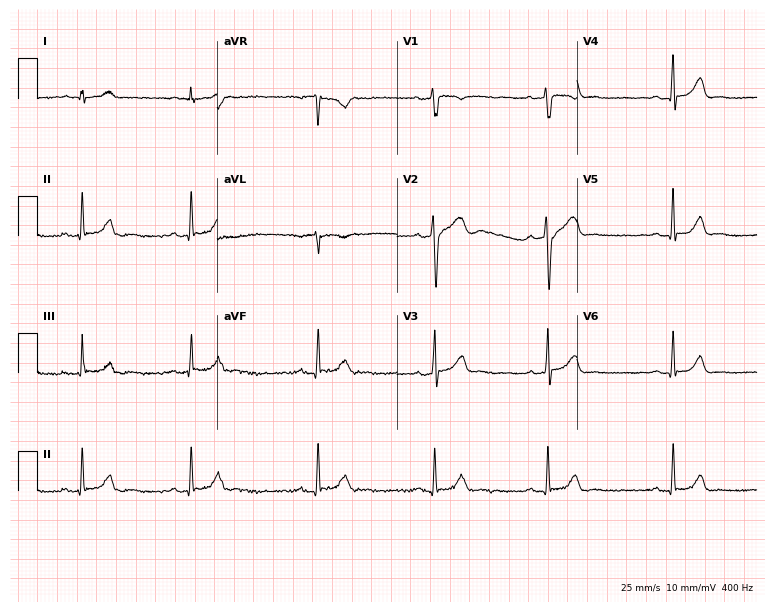
Resting 12-lead electrocardiogram (7.3-second recording at 400 Hz). Patient: a 19-year-old woman. None of these six findings is recorded: first-degree AV block, right bundle branch block (RBBB), left bundle branch block (LBBB), sinus bradycardia, atrial fibrillation (AF), sinus tachycardia.